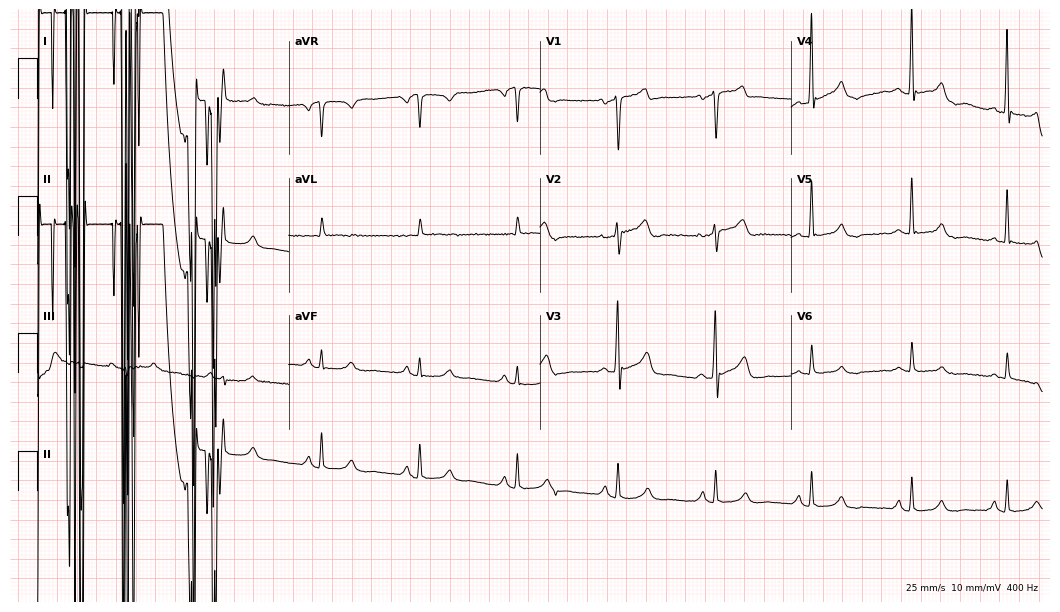
12-lead ECG from a male, 60 years old (10.2-second recording at 400 Hz). No first-degree AV block, right bundle branch block, left bundle branch block, sinus bradycardia, atrial fibrillation or sinus tachycardia recorded for this tracing. Other findings, if any, are not listed.